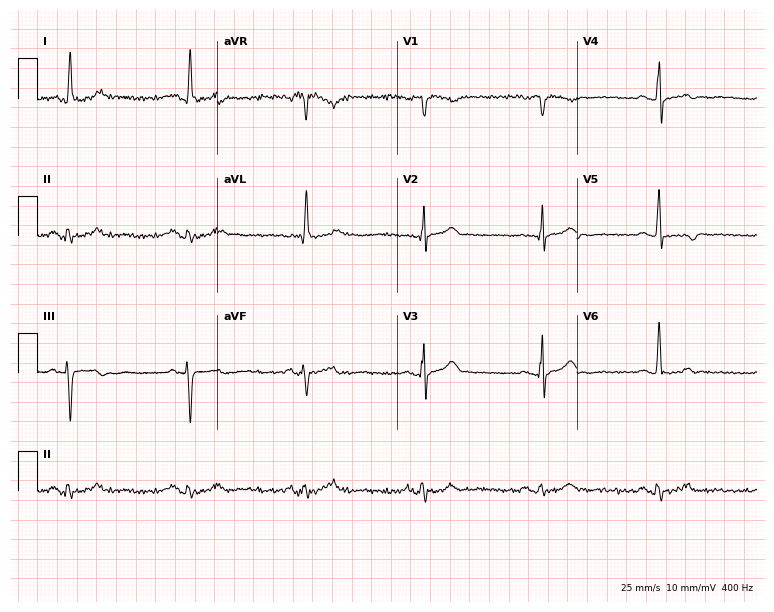
Standard 12-lead ECG recorded from a 78-year-old male (7.3-second recording at 400 Hz). None of these six findings is recorded: first-degree AV block, right bundle branch block, left bundle branch block, sinus bradycardia, atrial fibrillation, sinus tachycardia.